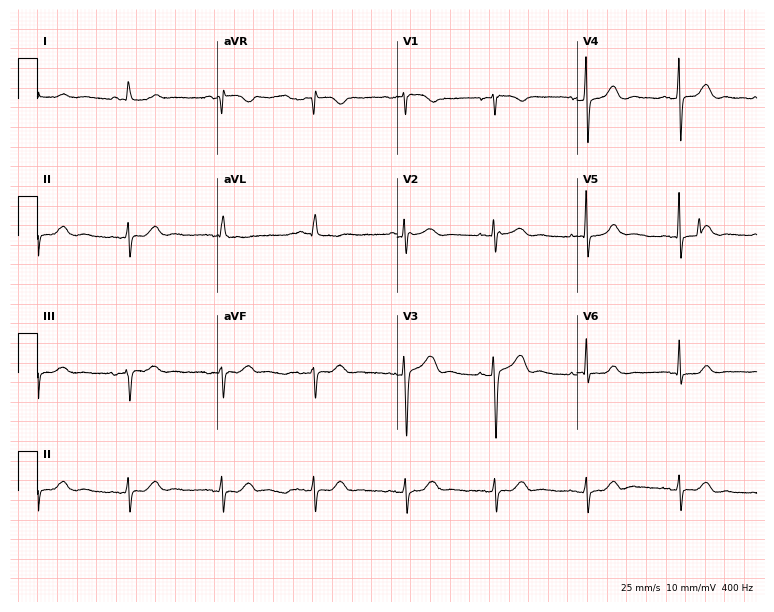
Electrocardiogram, a female, 85 years old. Of the six screened findings (first-degree AV block, right bundle branch block, left bundle branch block, sinus bradycardia, atrial fibrillation, sinus tachycardia), none is recorded.